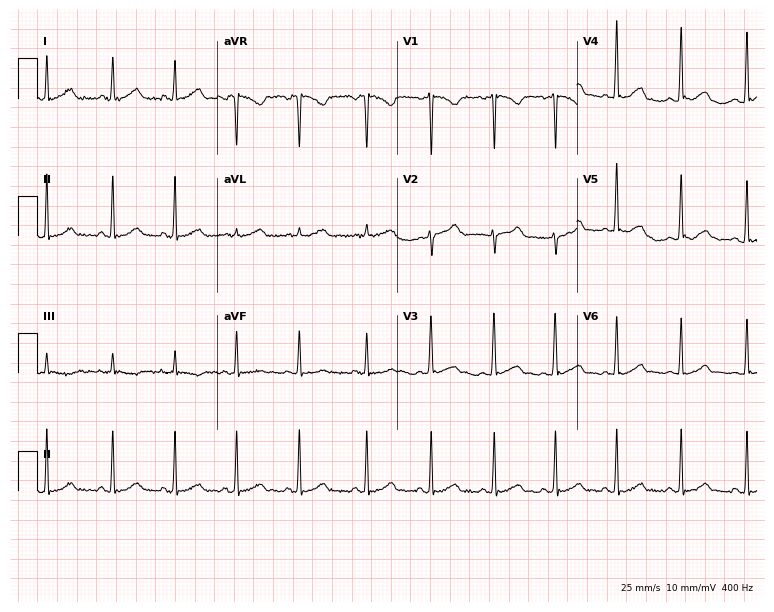
Electrocardiogram, a 25-year-old woman. Overall reading on record: normal ECG.